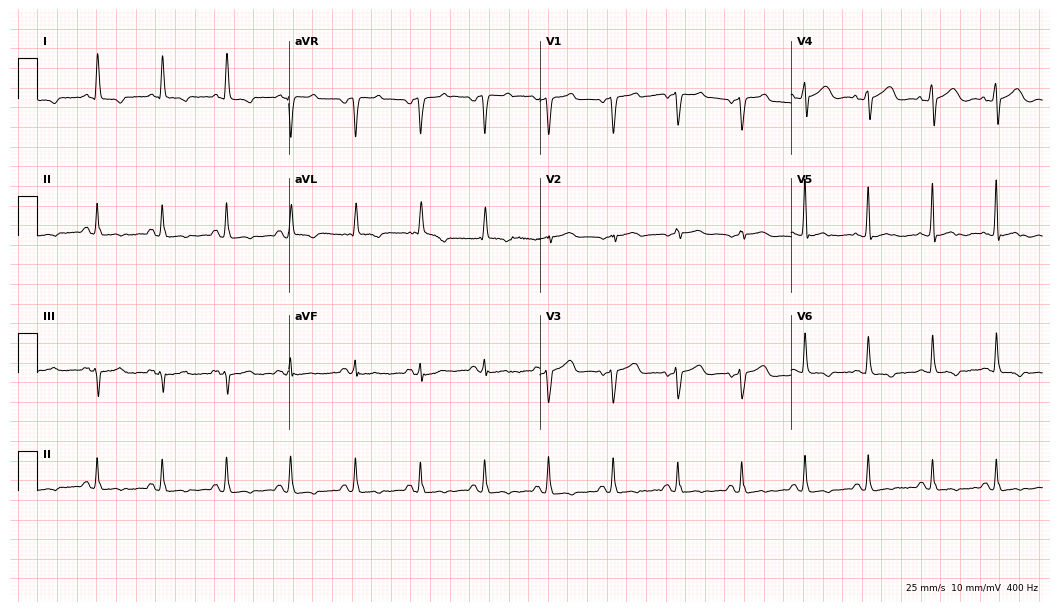
Standard 12-lead ECG recorded from a female patient, 69 years old. None of these six findings is recorded: first-degree AV block, right bundle branch block (RBBB), left bundle branch block (LBBB), sinus bradycardia, atrial fibrillation (AF), sinus tachycardia.